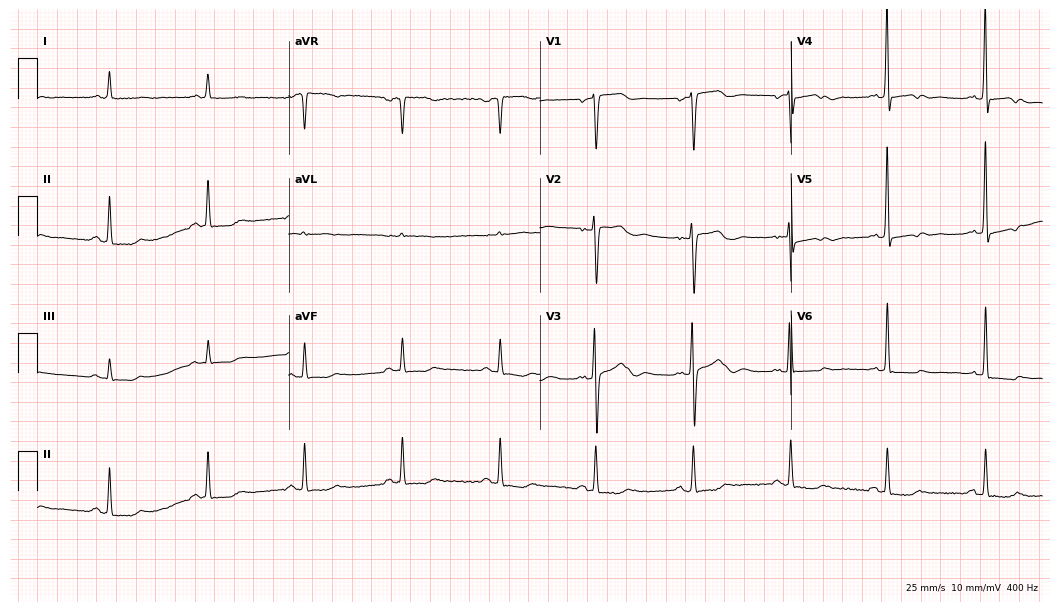
ECG (10.2-second recording at 400 Hz) — an 80-year-old female. Screened for six findings — first-degree AV block, right bundle branch block, left bundle branch block, sinus bradycardia, atrial fibrillation, sinus tachycardia — none is recorded.